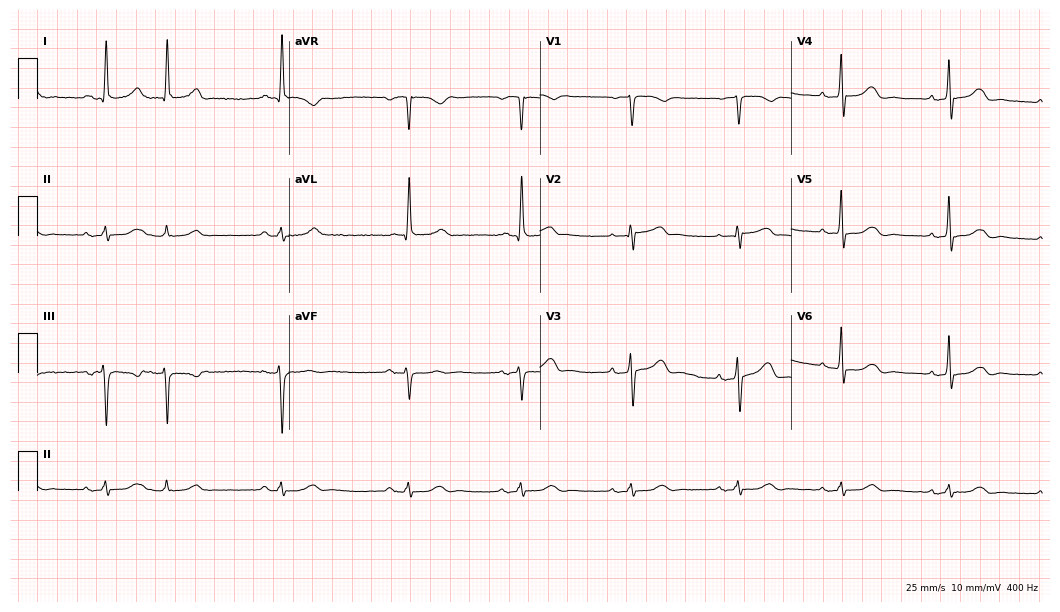
12-lead ECG (10.2-second recording at 400 Hz) from a man, 74 years old. Screened for six findings — first-degree AV block, right bundle branch block, left bundle branch block, sinus bradycardia, atrial fibrillation, sinus tachycardia — none is recorded.